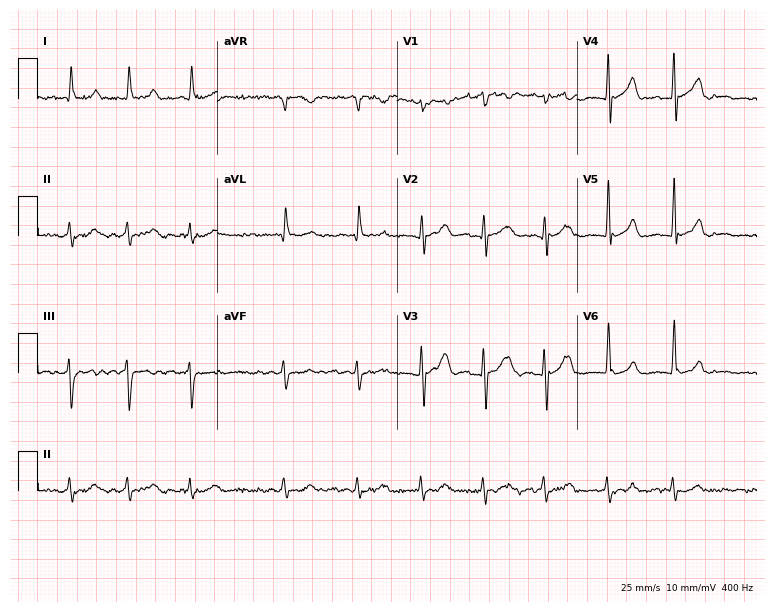
Standard 12-lead ECG recorded from a 74-year-old male (7.3-second recording at 400 Hz). The tracing shows atrial fibrillation (AF).